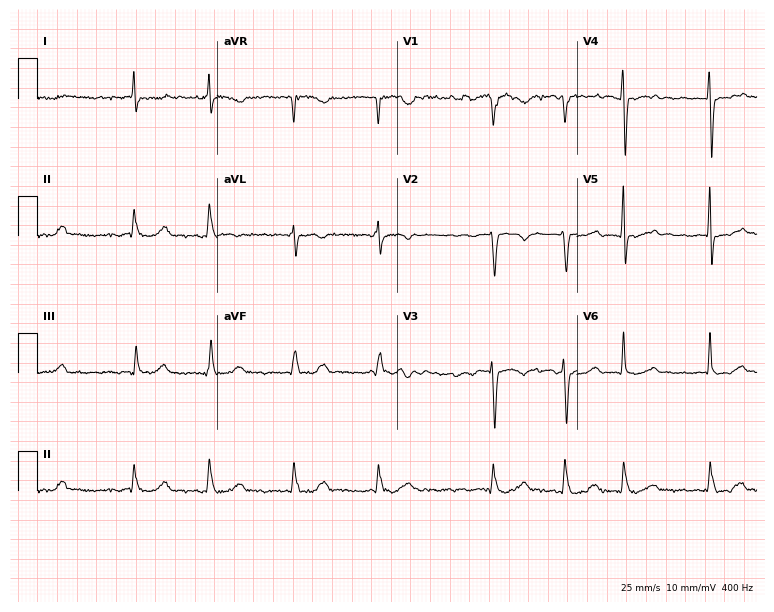
Electrocardiogram (7.3-second recording at 400 Hz), a woman, 77 years old. Interpretation includes atrial fibrillation.